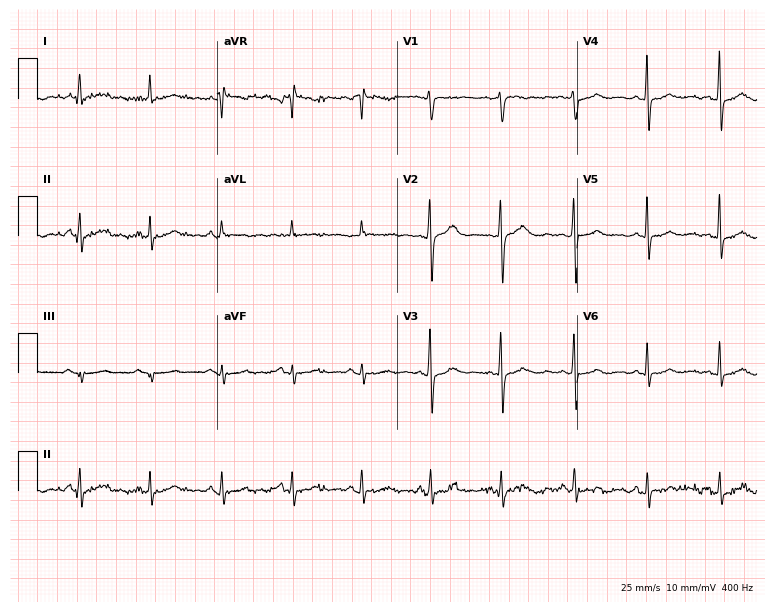
12-lead ECG from a female patient, 55 years old (7.3-second recording at 400 Hz). Recorded interpretation: within normal limits.